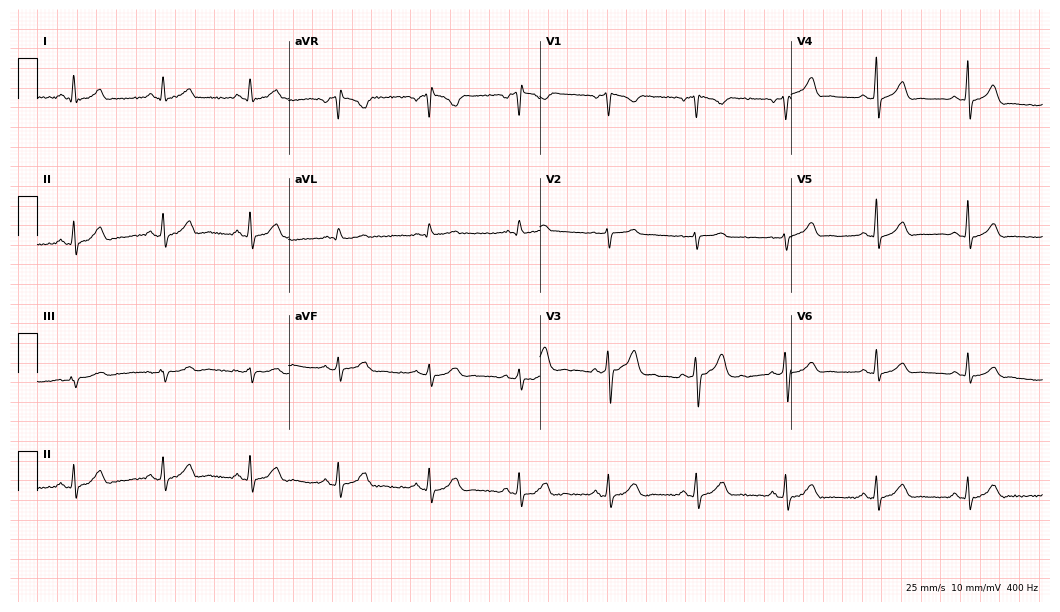
Resting 12-lead electrocardiogram. Patient: a male, 36 years old. Read as a normal ECG.